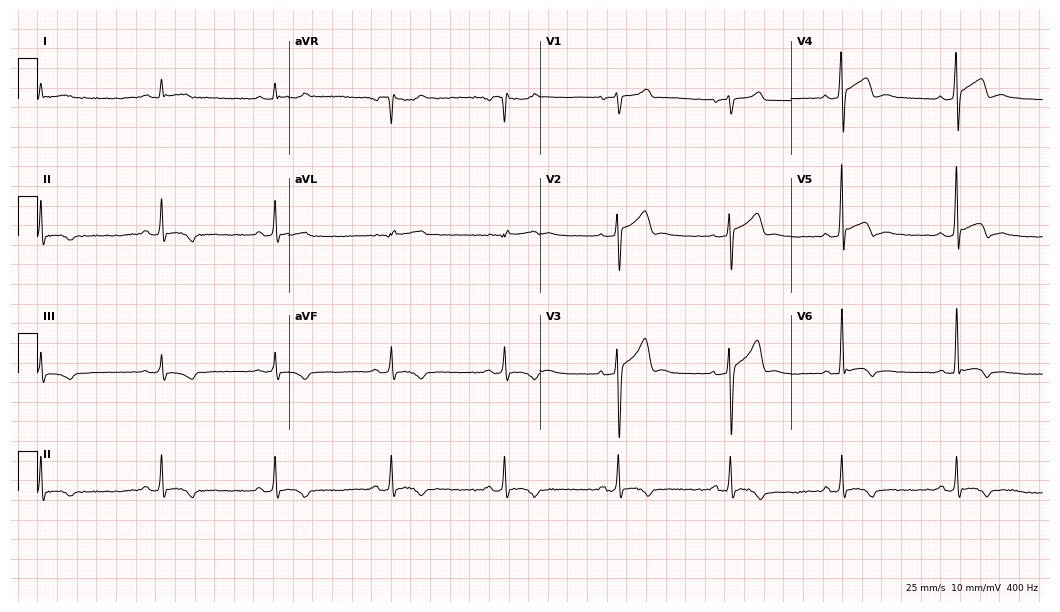
12-lead ECG from a male patient, 41 years old. No first-degree AV block, right bundle branch block, left bundle branch block, sinus bradycardia, atrial fibrillation or sinus tachycardia recorded for this tracing. Only these six findings were labelled.